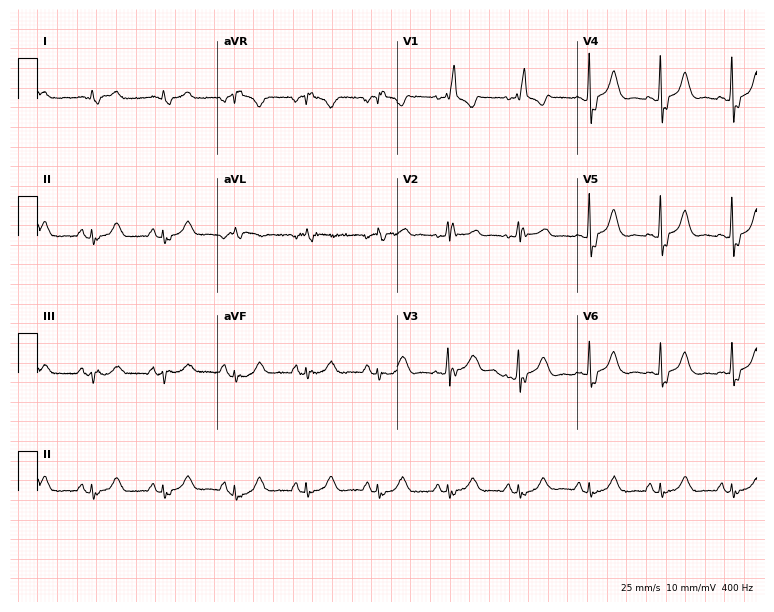
Standard 12-lead ECG recorded from an 82-year-old male. The tracing shows right bundle branch block (RBBB).